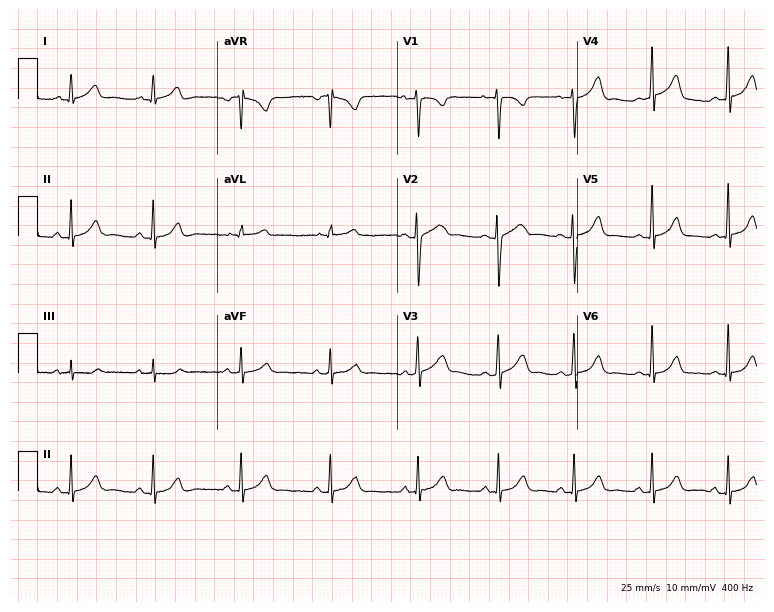
Electrocardiogram (7.3-second recording at 400 Hz), a 25-year-old female patient. Overall reading on record: normal ECG.